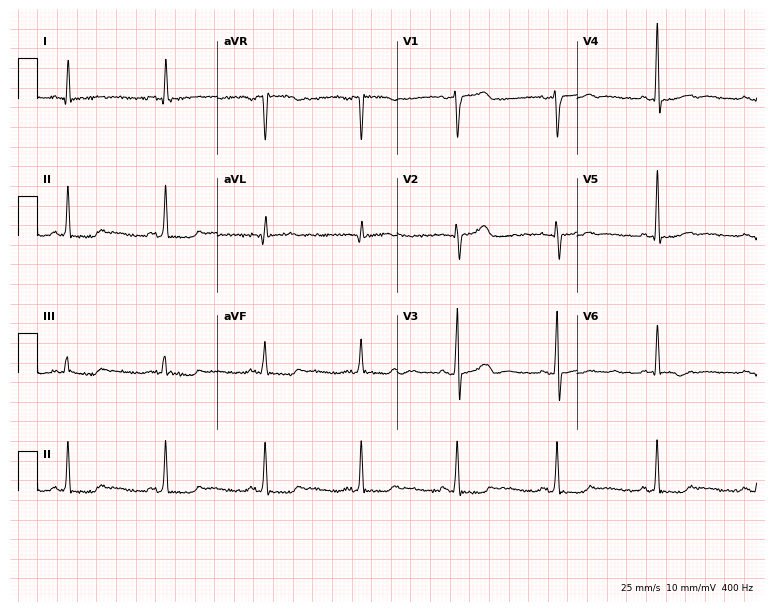
Electrocardiogram (7.3-second recording at 400 Hz), a 58-year-old male patient. Of the six screened findings (first-degree AV block, right bundle branch block, left bundle branch block, sinus bradycardia, atrial fibrillation, sinus tachycardia), none is recorded. Findings outside these six are not listed.